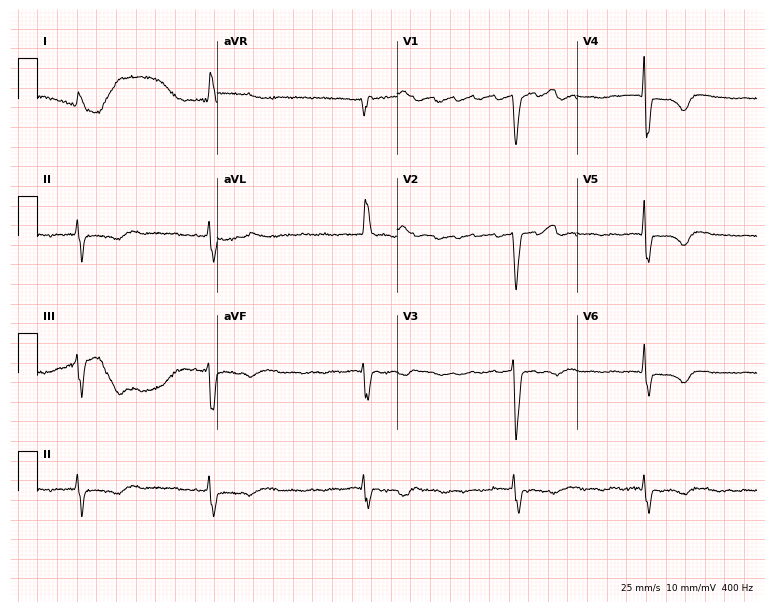
12-lead ECG (7.3-second recording at 400 Hz) from a female patient, 86 years old. Findings include atrial fibrillation.